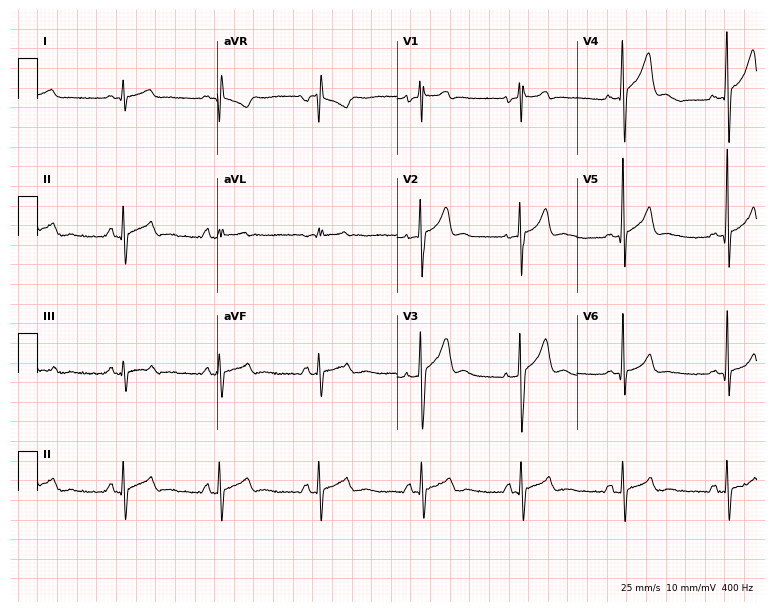
Standard 12-lead ECG recorded from a 23-year-old man (7.3-second recording at 400 Hz). Read as a normal ECG.